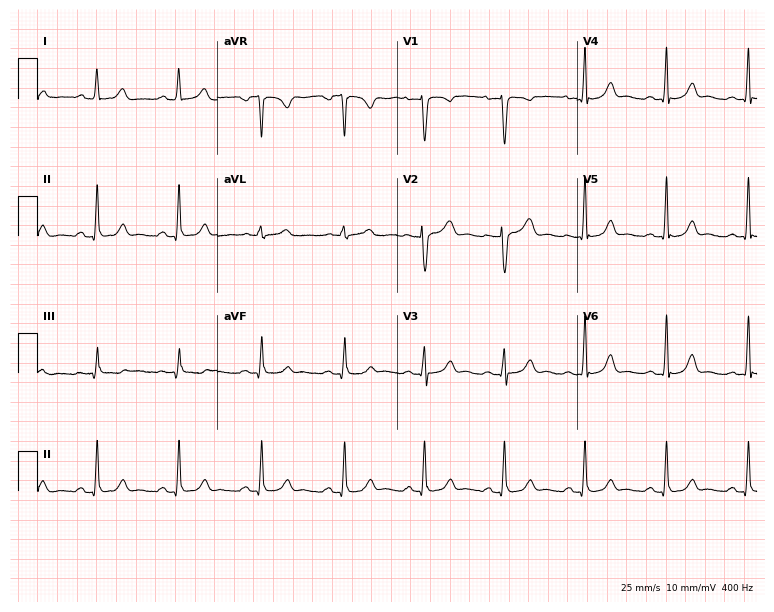
12-lead ECG (7.3-second recording at 400 Hz) from a woman, 29 years old. Labelled as a normal ECG.